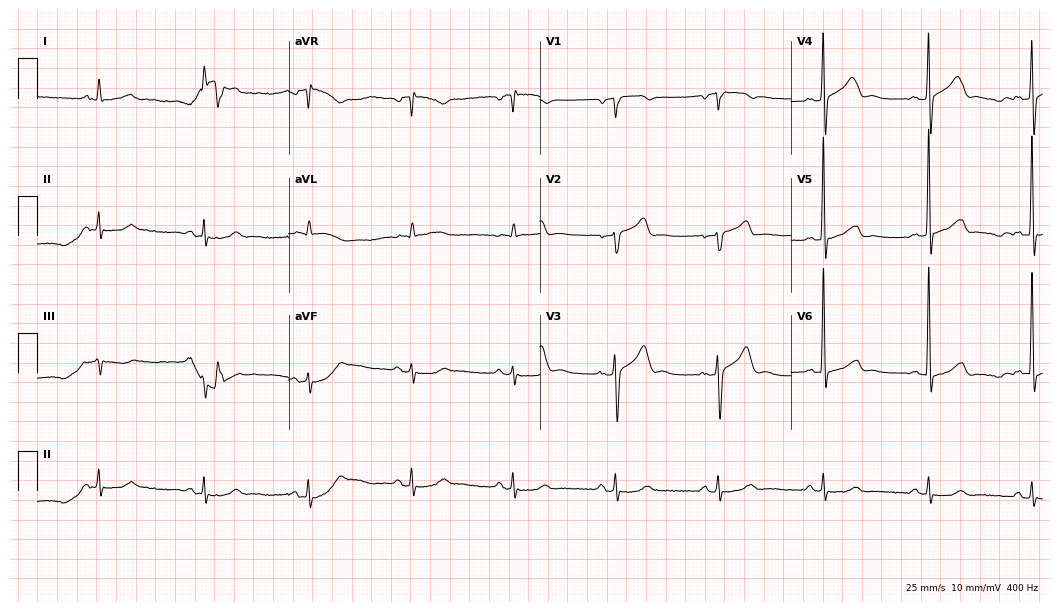
ECG — a man, 78 years old. Screened for six findings — first-degree AV block, right bundle branch block, left bundle branch block, sinus bradycardia, atrial fibrillation, sinus tachycardia — none is recorded.